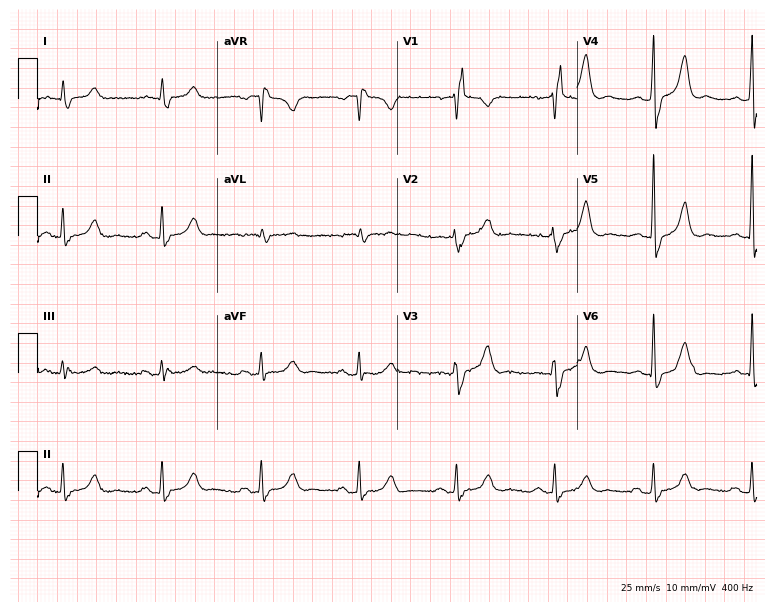
Resting 12-lead electrocardiogram (7.3-second recording at 400 Hz). Patient: a man, 72 years old. The tracing shows right bundle branch block.